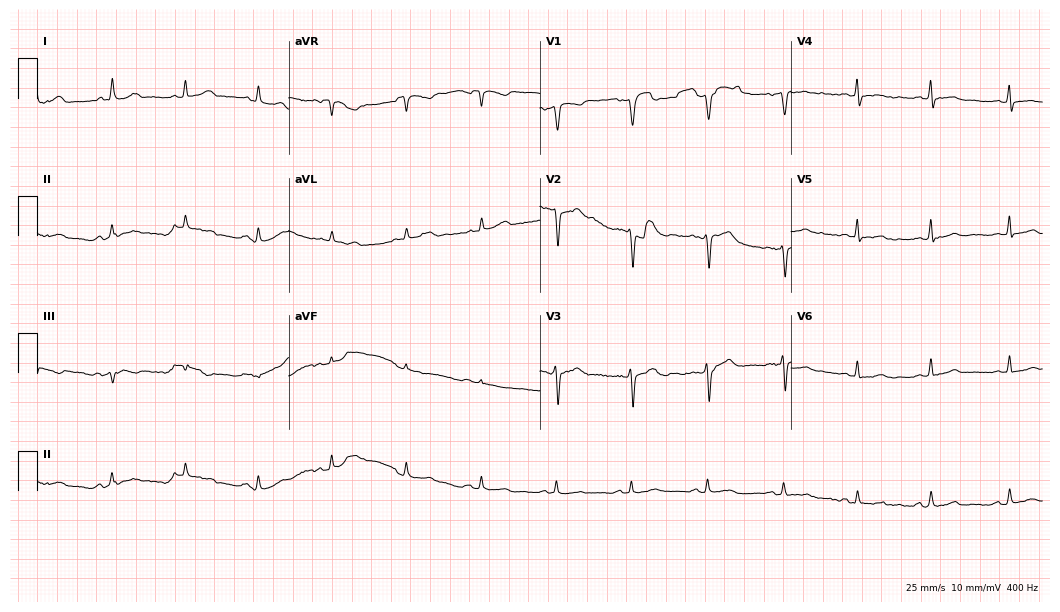
Standard 12-lead ECG recorded from a female patient, 38 years old. None of these six findings is recorded: first-degree AV block, right bundle branch block, left bundle branch block, sinus bradycardia, atrial fibrillation, sinus tachycardia. Findings outside these six are not listed.